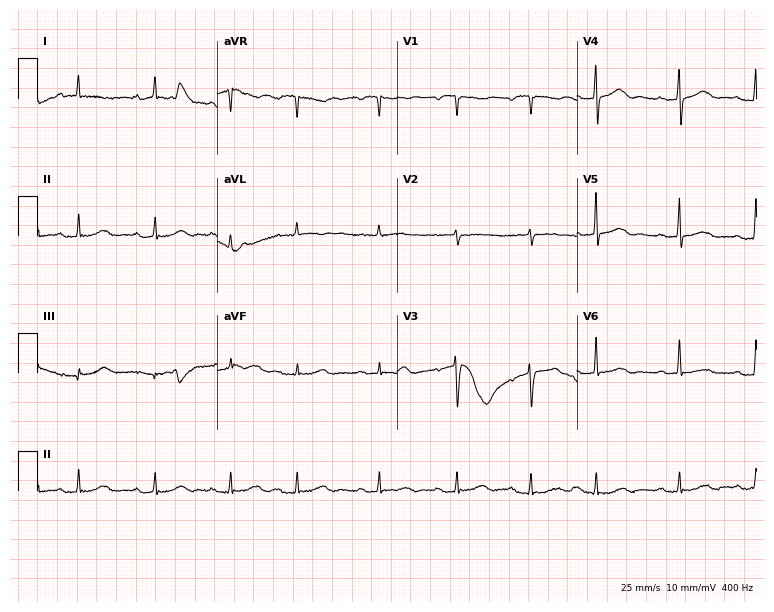
12-lead ECG (7.3-second recording at 400 Hz) from a female patient, 79 years old. Labelled as a normal ECG.